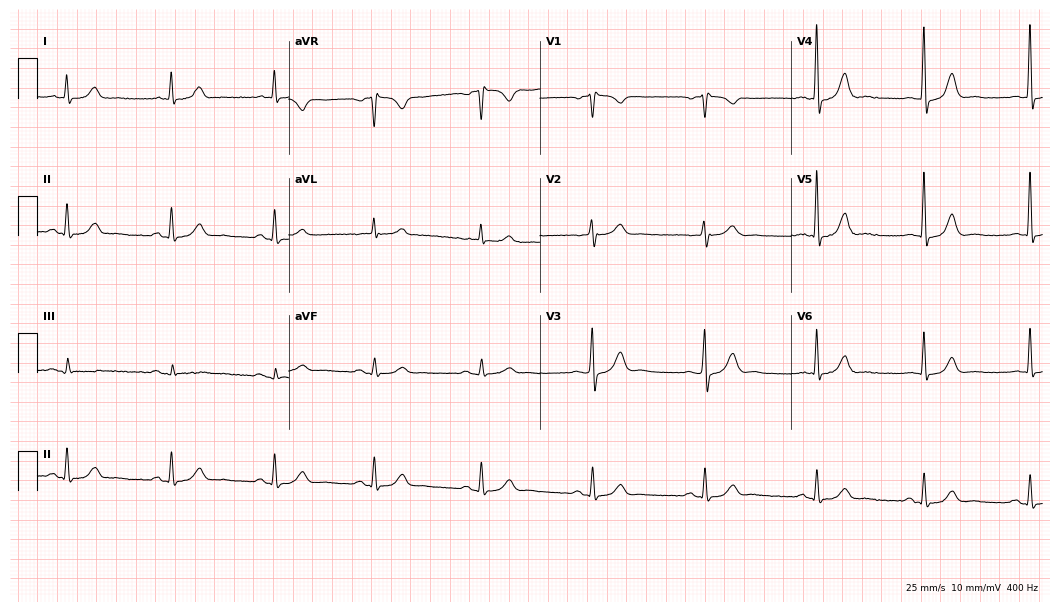
12-lead ECG from a male patient, 66 years old (10.2-second recording at 400 Hz). No first-degree AV block, right bundle branch block, left bundle branch block, sinus bradycardia, atrial fibrillation or sinus tachycardia recorded for this tracing.